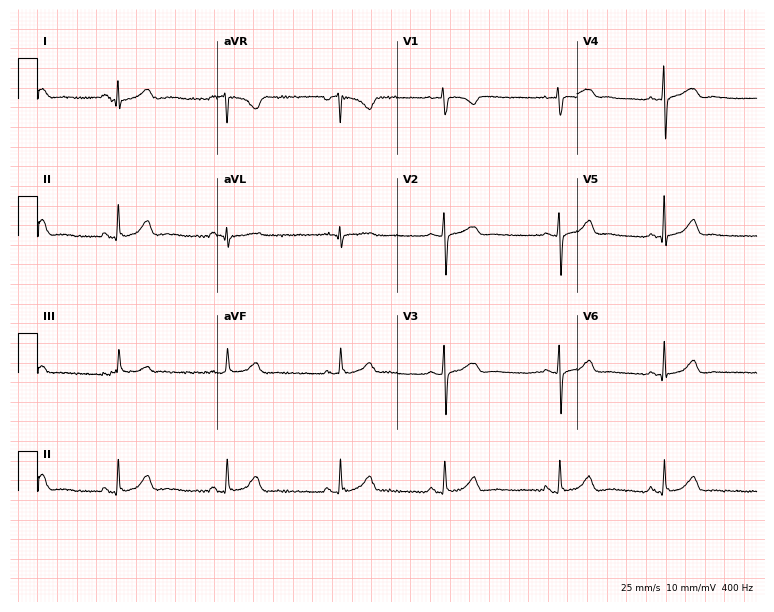
Standard 12-lead ECG recorded from a 19-year-old female patient. None of these six findings is recorded: first-degree AV block, right bundle branch block, left bundle branch block, sinus bradycardia, atrial fibrillation, sinus tachycardia. Findings outside these six are not listed.